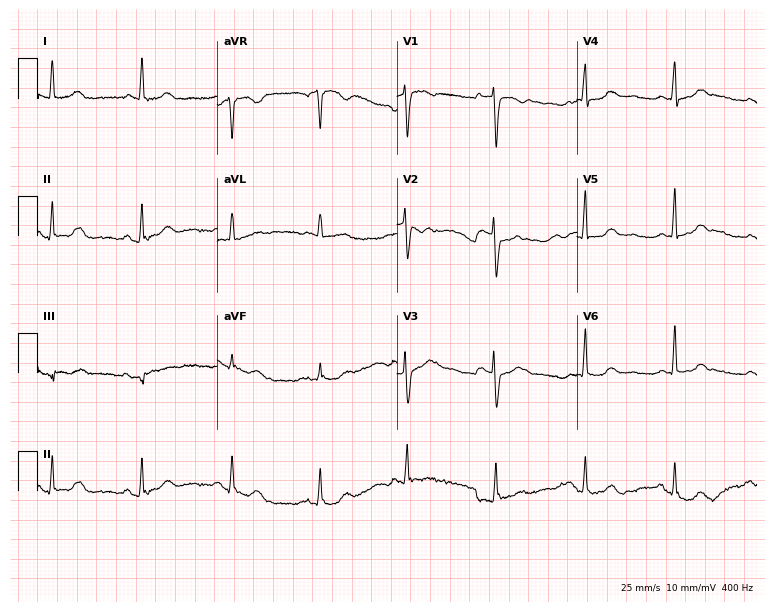
Electrocardiogram, a 60-year-old female. Overall reading on record: normal ECG.